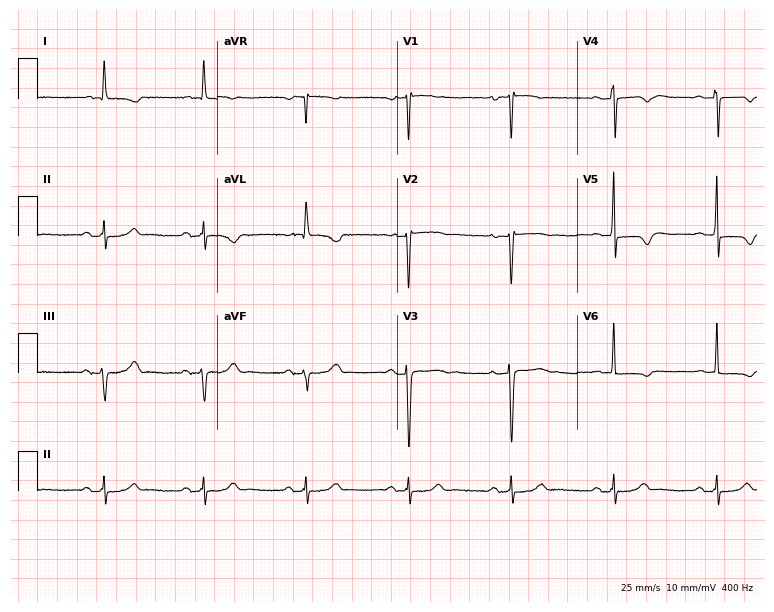
ECG (7.3-second recording at 400 Hz) — a 74-year-old woman. Screened for six findings — first-degree AV block, right bundle branch block, left bundle branch block, sinus bradycardia, atrial fibrillation, sinus tachycardia — none is recorded. Only these six findings were labelled.